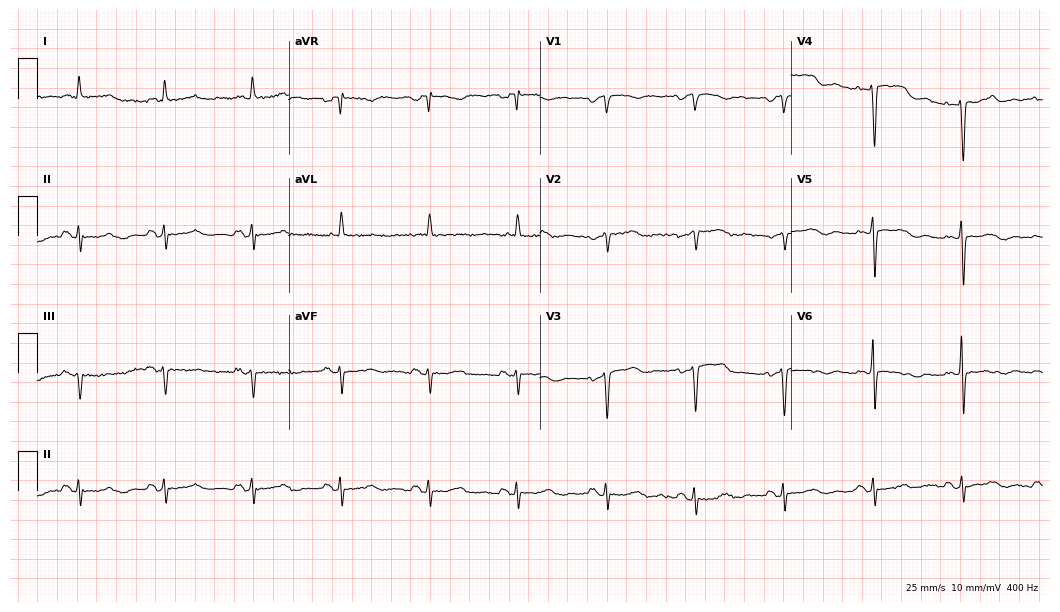
12-lead ECG from a woman, 68 years old (10.2-second recording at 400 Hz). No first-degree AV block, right bundle branch block, left bundle branch block, sinus bradycardia, atrial fibrillation or sinus tachycardia recorded for this tracing. Only these six findings were labelled.